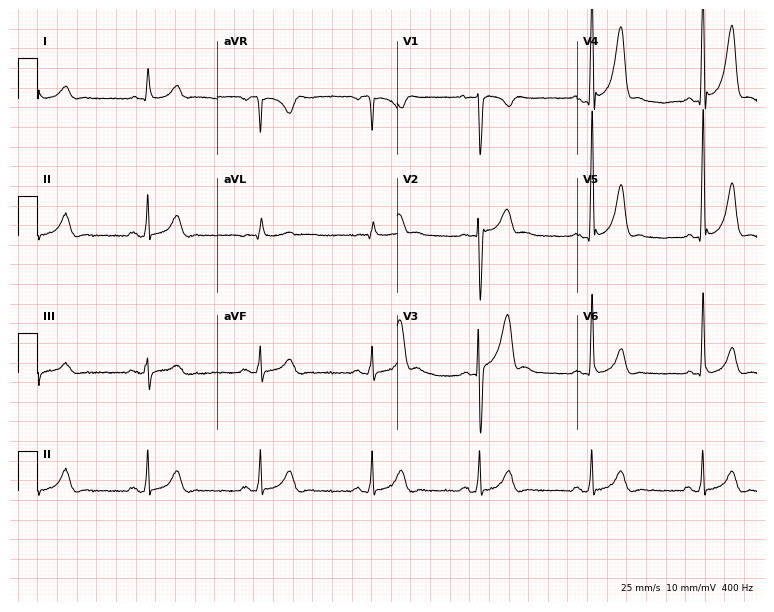
Electrocardiogram, a 36-year-old man. Of the six screened findings (first-degree AV block, right bundle branch block, left bundle branch block, sinus bradycardia, atrial fibrillation, sinus tachycardia), none is recorded.